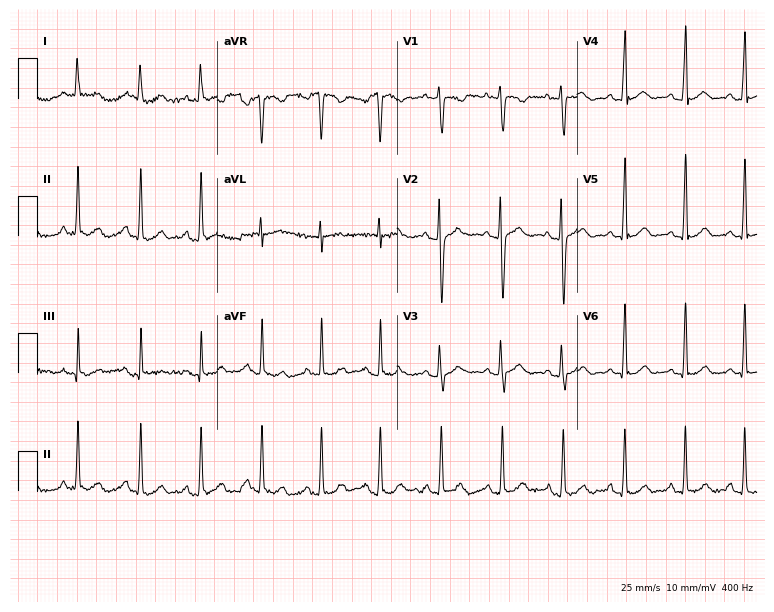
Resting 12-lead electrocardiogram. Patient: a 24-year-old woman. None of these six findings is recorded: first-degree AV block, right bundle branch block, left bundle branch block, sinus bradycardia, atrial fibrillation, sinus tachycardia. Other findings, if any, are not listed.